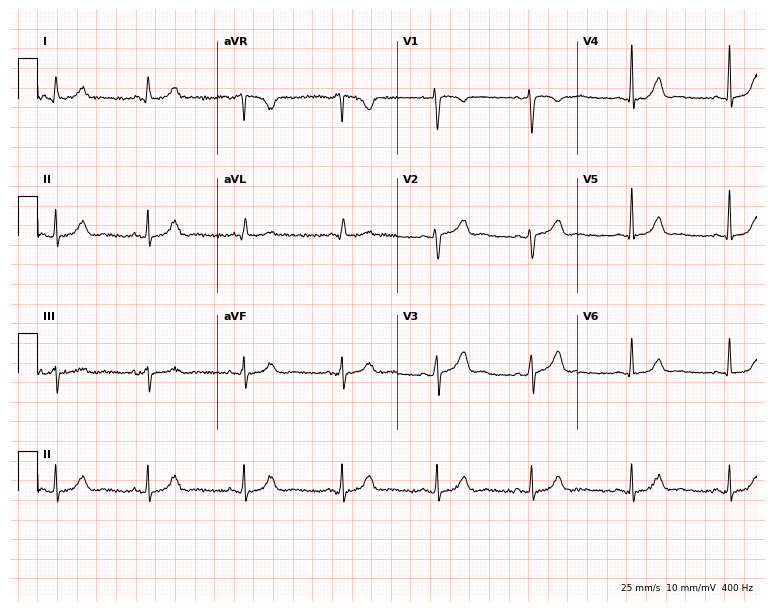
Standard 12-lead ECG recorded from a female, 41 years old (7.3-second recording at 400 Hz). Read as a normal ECG.